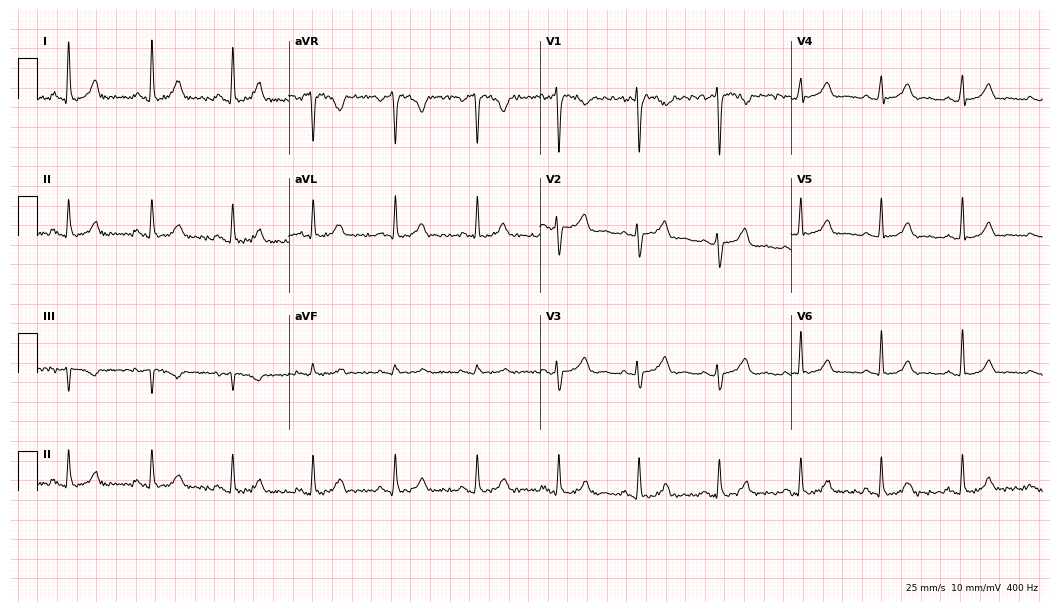
12-lead ECG from a female patient, 35 years old. Recorded interpretation: within normal limits.